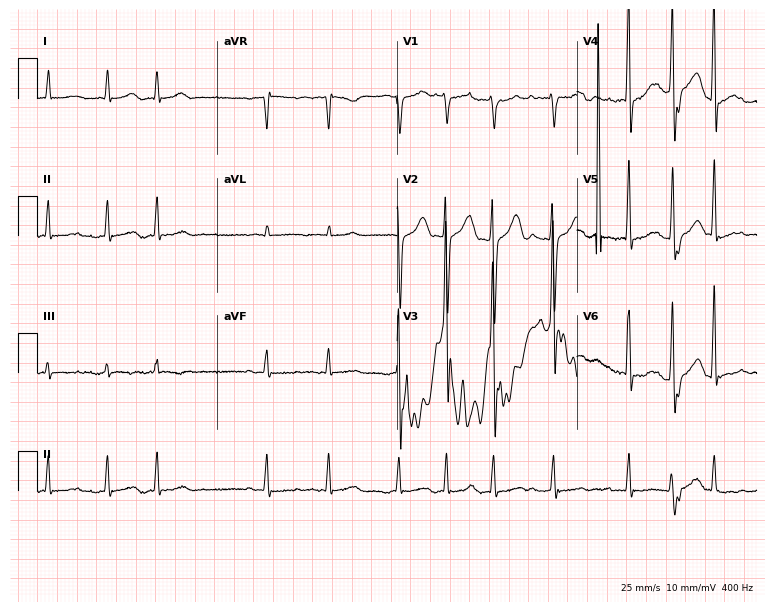
ECG (7.3-second recording at 400 Hz) — an 85-year-old male. Findings include atrial fibrillation.